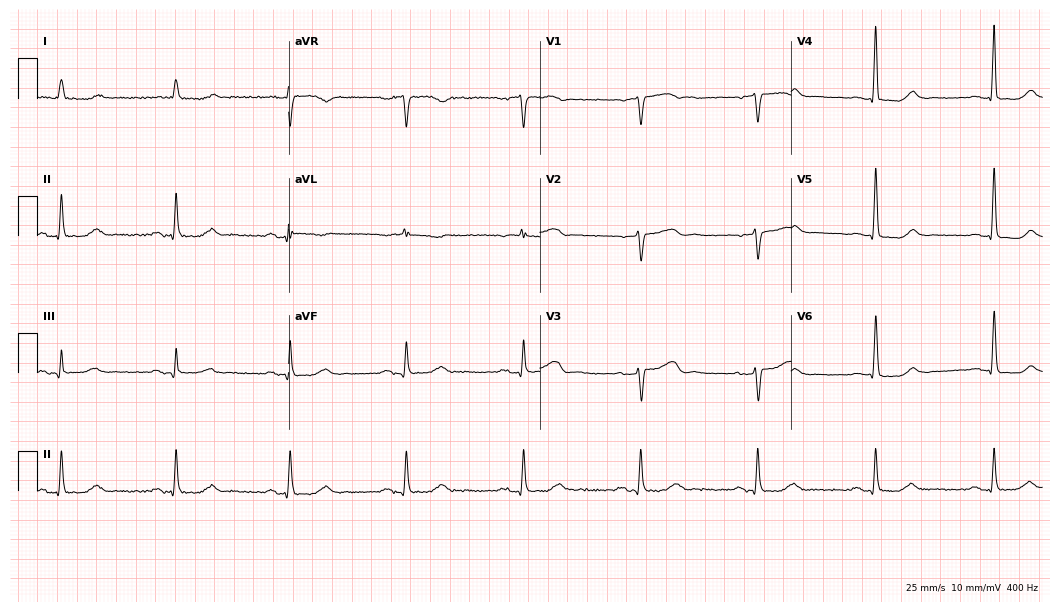
12-lead ECG from a woman, 75 years old. Shows first-degree AV block.